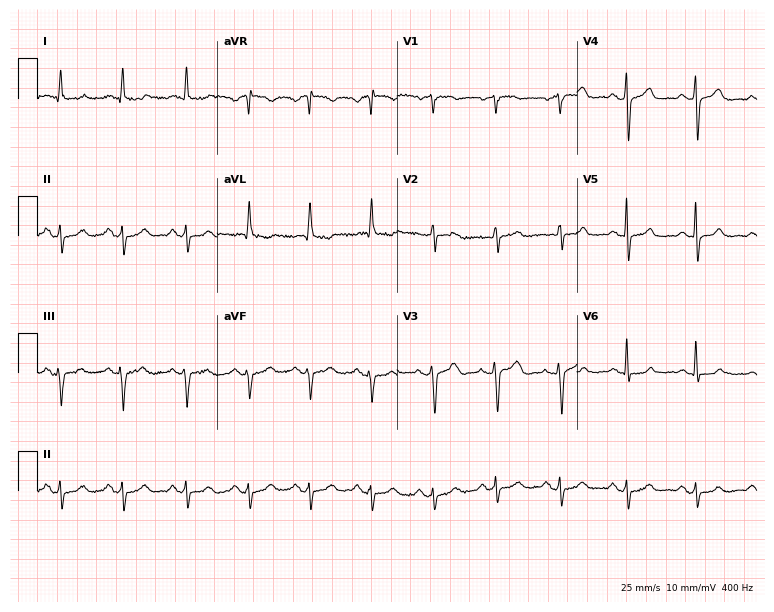
12-lead ECG from a woman, 79 years old. No first-degree AV block, right bundle branch block (RBBB), left bundle branch block (LBBB), sinus bradycardia, atrial fibrillation (AF) or sinus tachycardia recorded for this tracing.